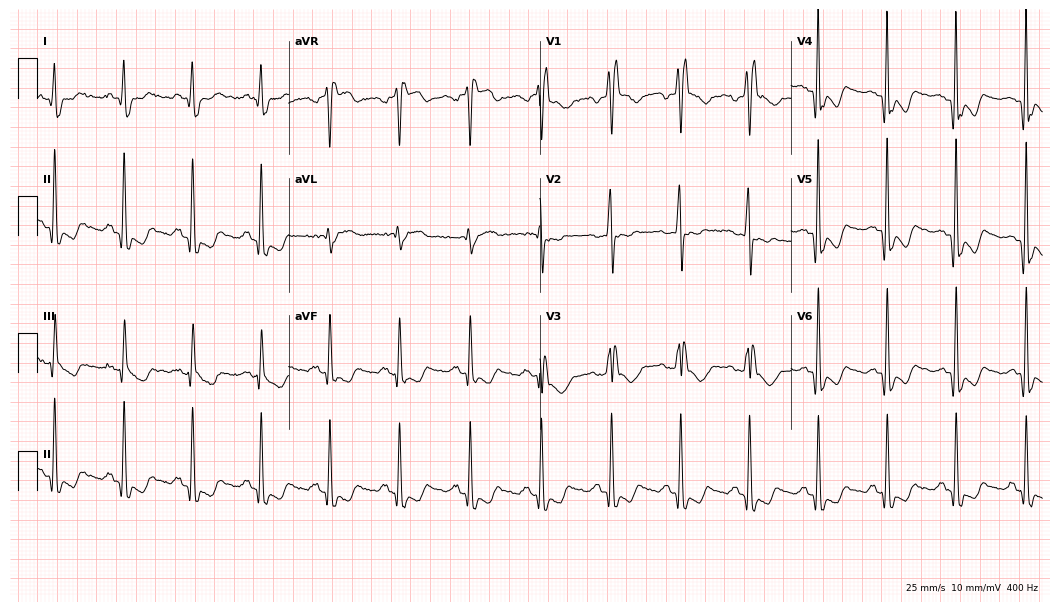
ECG (10.2-second recording at 400 Hz) — a 53-year-old man. Findings include right bundle branch block.